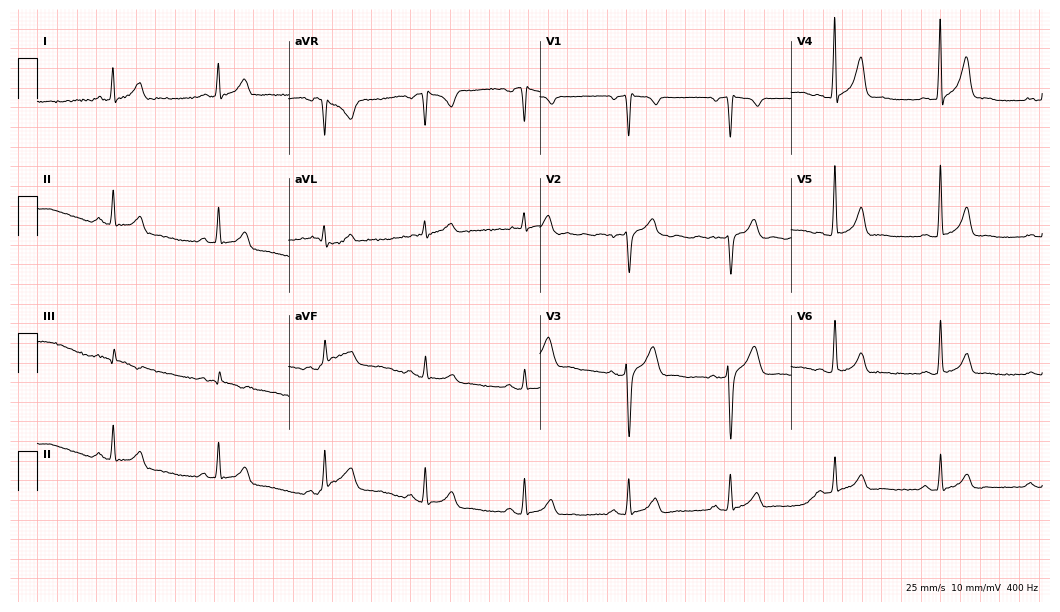
12-lead ECG from a 56-year-old male patient (10.2-second recording at 400 Hz). Recorded interpretation: within normal limits.